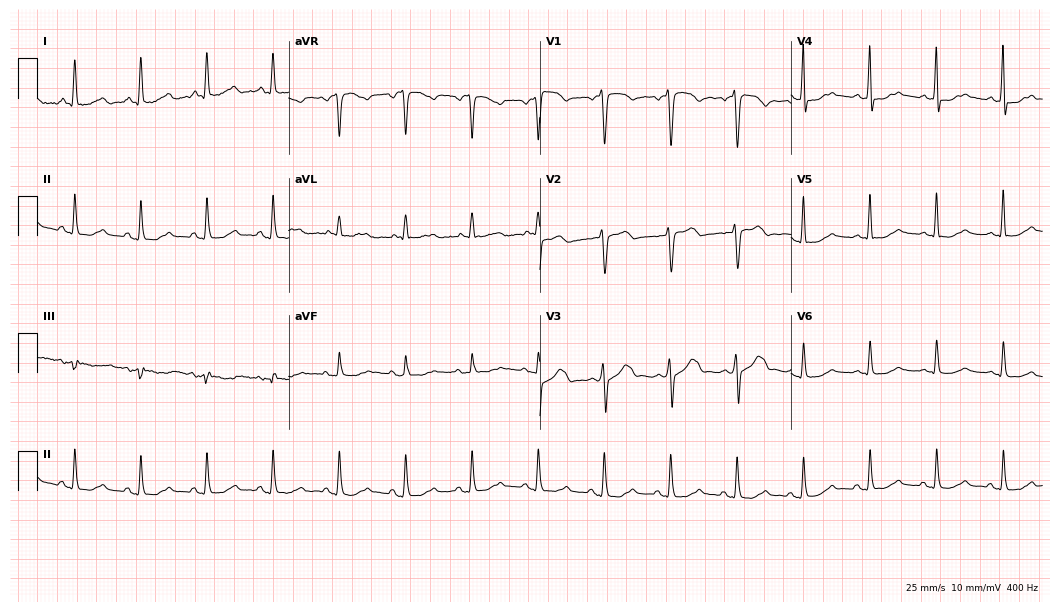
ECG — a female patient, 56 years old. Labelled as a normal ECG.